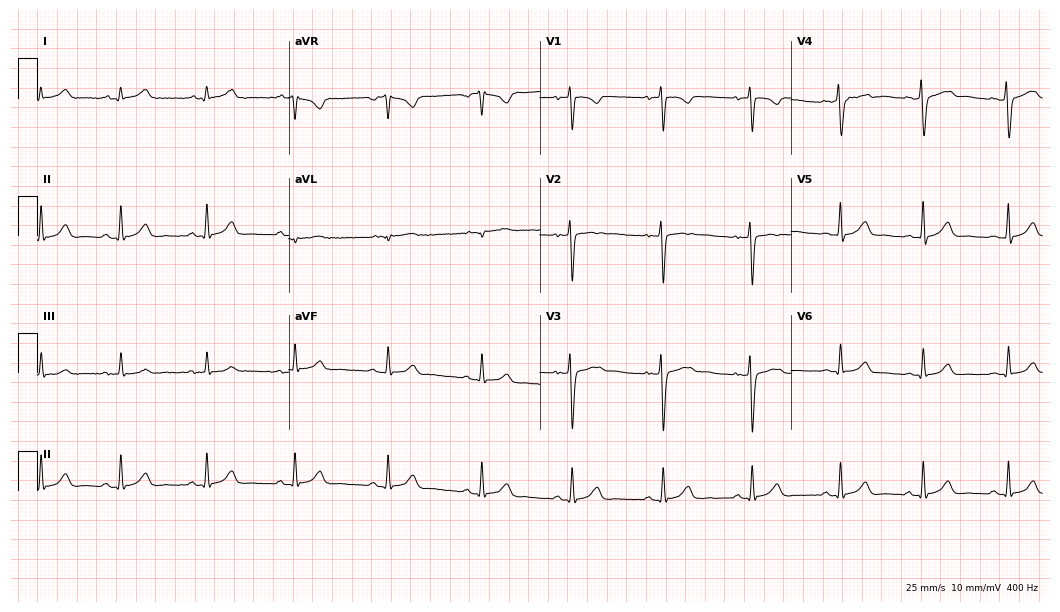
Standard 12-lead ECG recorded from a 21-year-old female patient. Read as a normal ECG.